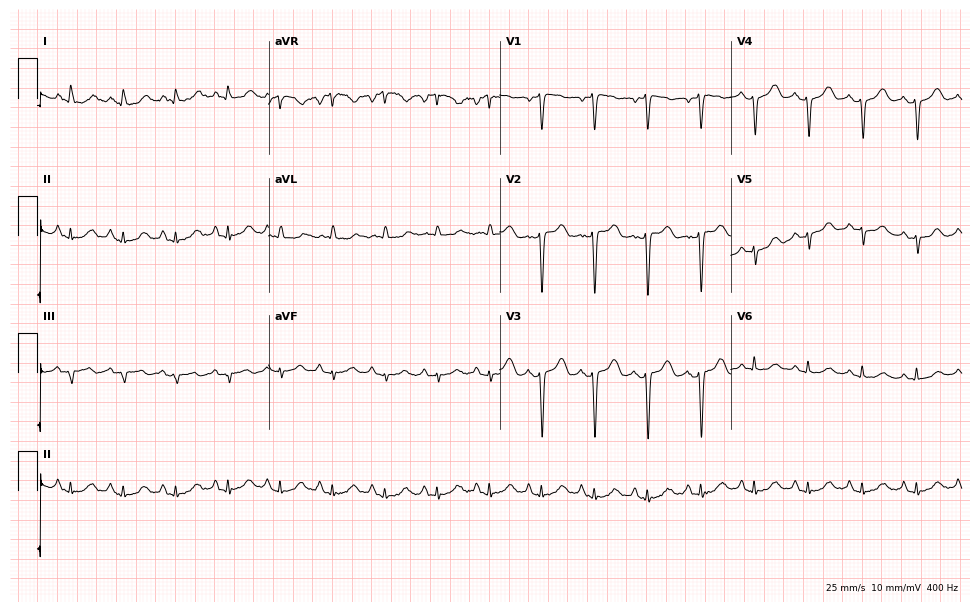
ECG — a female patient, 52 years old. Findings include sinus tachycardia (a sinus rate of 100 beats per minute or more).